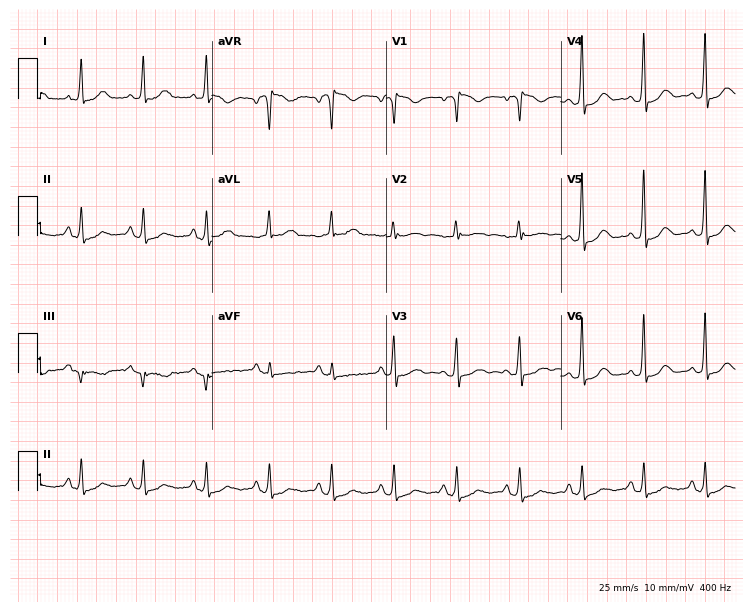
Resting 12-lead electrocardiogram. Patient: a 48-year-old female. None of these six findings is recorded: first-degree AV block, right bundle branch block, left bundle branch block, sinus bradycardia, atrial fibrillation, sinus tachycardia.